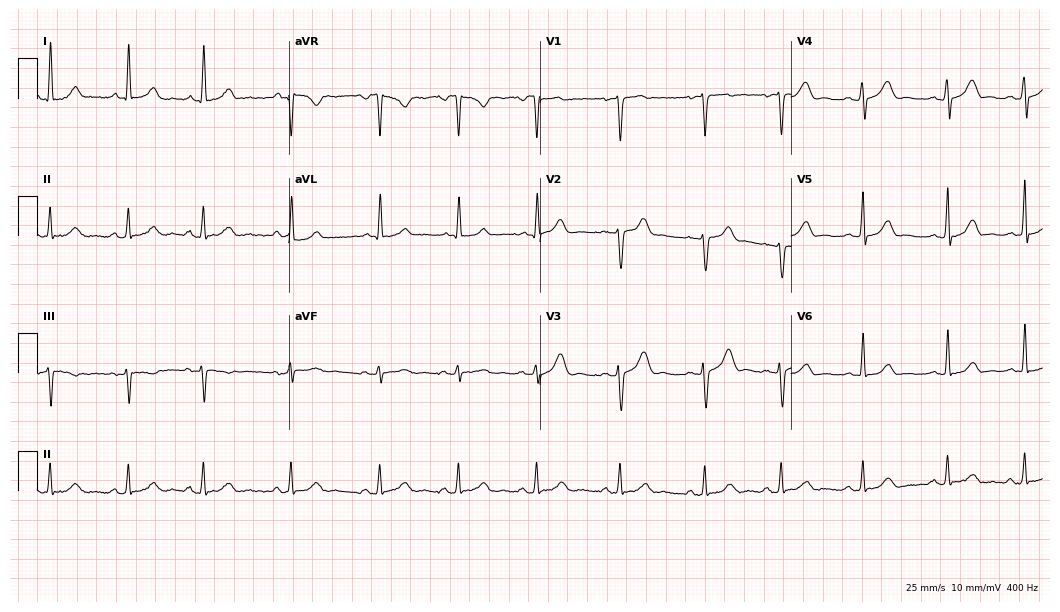
12-lead ECG (10.2-second recording at 400 Hz) from a 24-year-old woman. Labelled as a normal ECG.